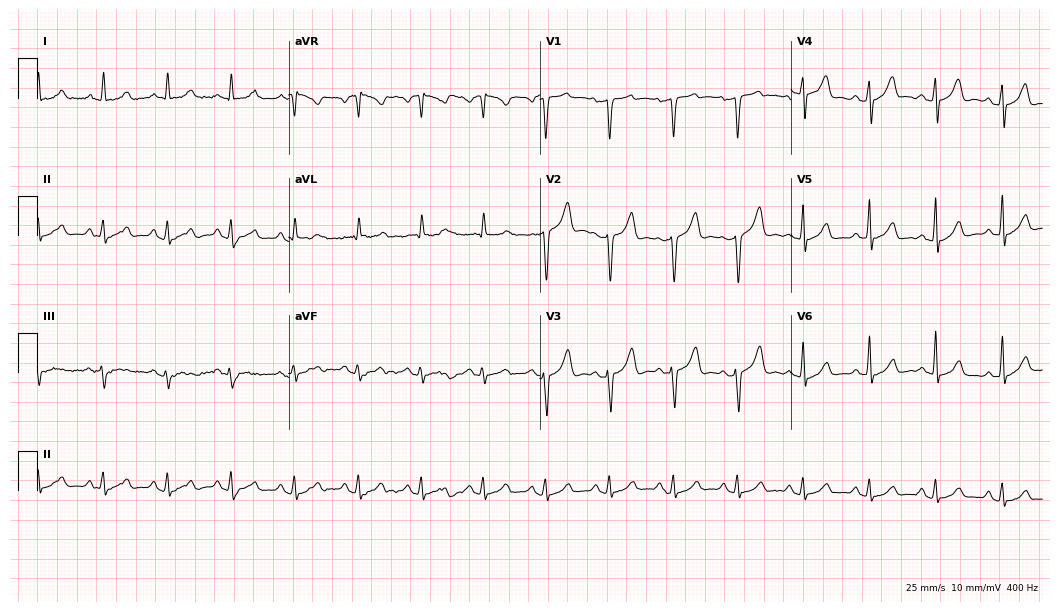
Electrocardiogram (10.2-second recording at 400 Hz), a 62-year-old male patient. Overall reading on record: normal ECG.